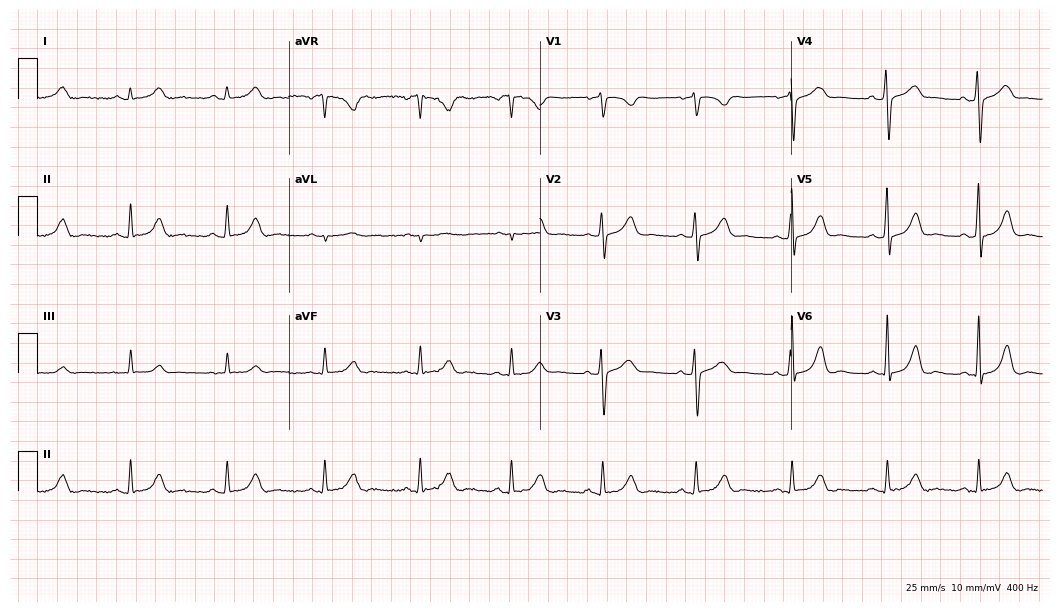
12-lead ECG from a 36-year-old female patient. Screened for six findings — first-degree AV block, right bundle branch block, left bundle branch block, sinus bradycardia, atrial fibrillation, sinus tachycardia — none is recorded.